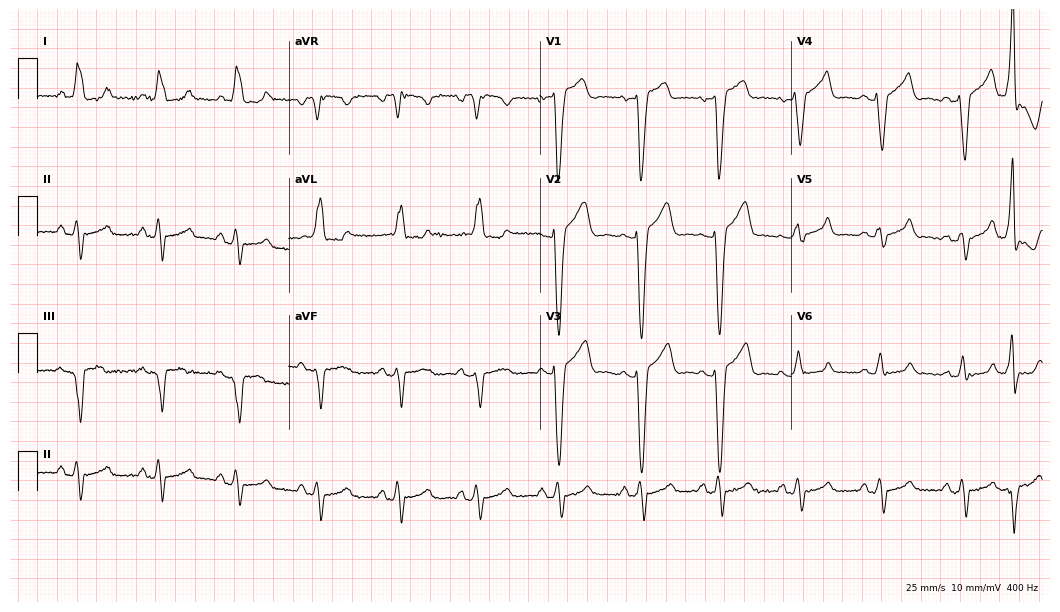
ECG — a female, 68 years old. Findings include left bundle branch block.